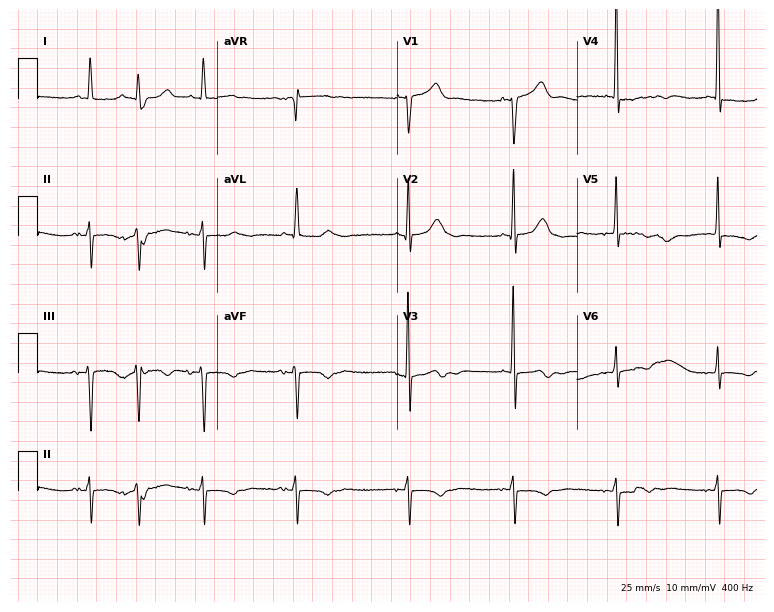
Electrocardiogram (7.3-second recording at 400 Hz), a female patient, 79 years old. Of the six screened findings (first-degree AV block, right bundle branch block, left bundle branch block, sinus bradycardia, atrial fibrillation, sinus tachycardia), none is recorded.